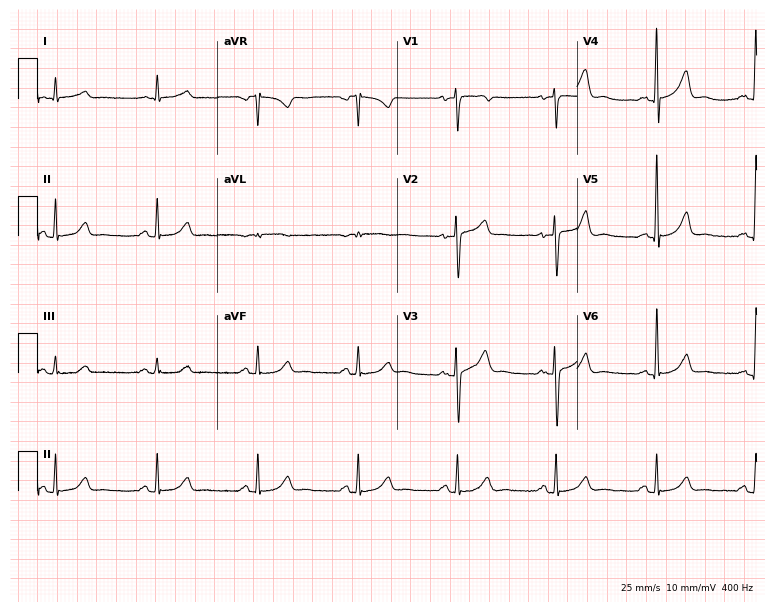
12-lead ECG from a 62-year-old woman. Recorded interpretation: within normal limits.